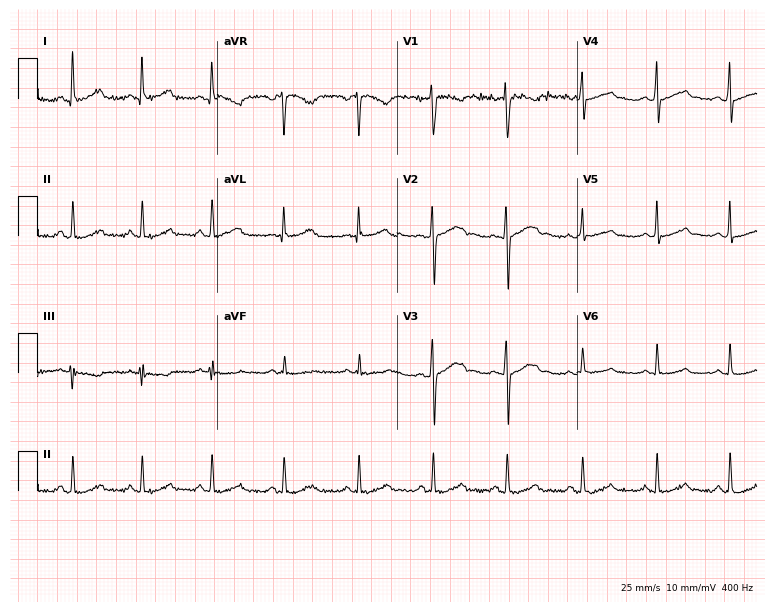
Resting 12-lead electrocardiogram (7.3-second recording at 400 Hz). Patient: a female, 29 years old. Read as a normal ECG.